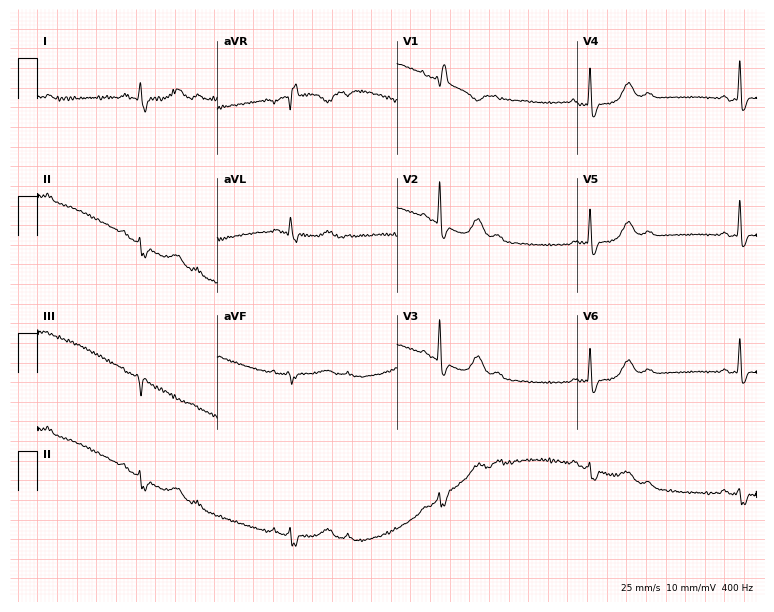
Resting 12-lead electrocardiogram (7.3-second recording at 400 Hz). Patient: a woman, 49 years old. The tracing shows right bundle branch block.